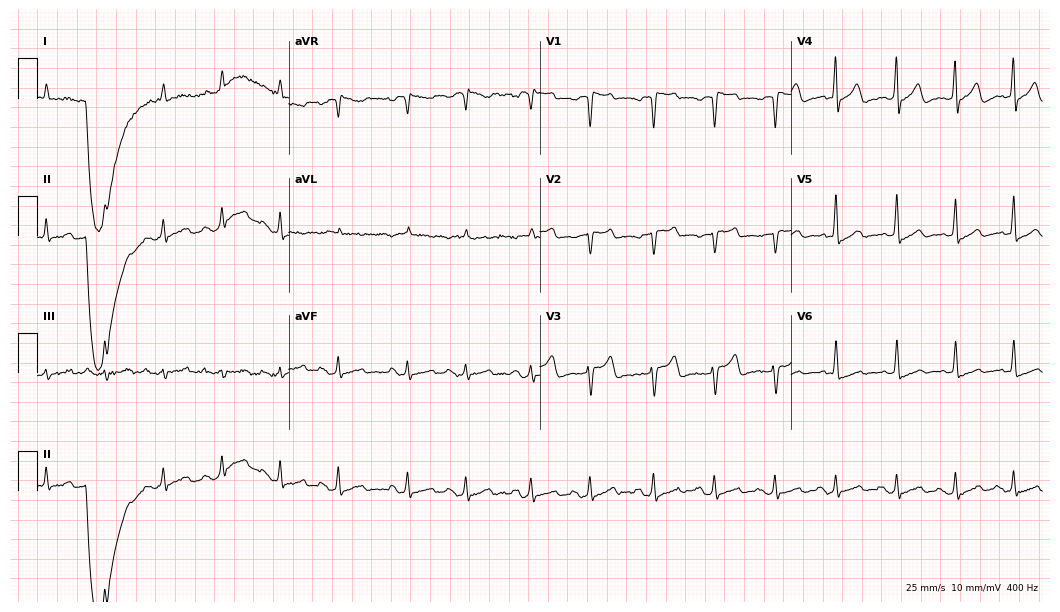
ECG — a male, 78 years old. Labelled as a normal ECG.